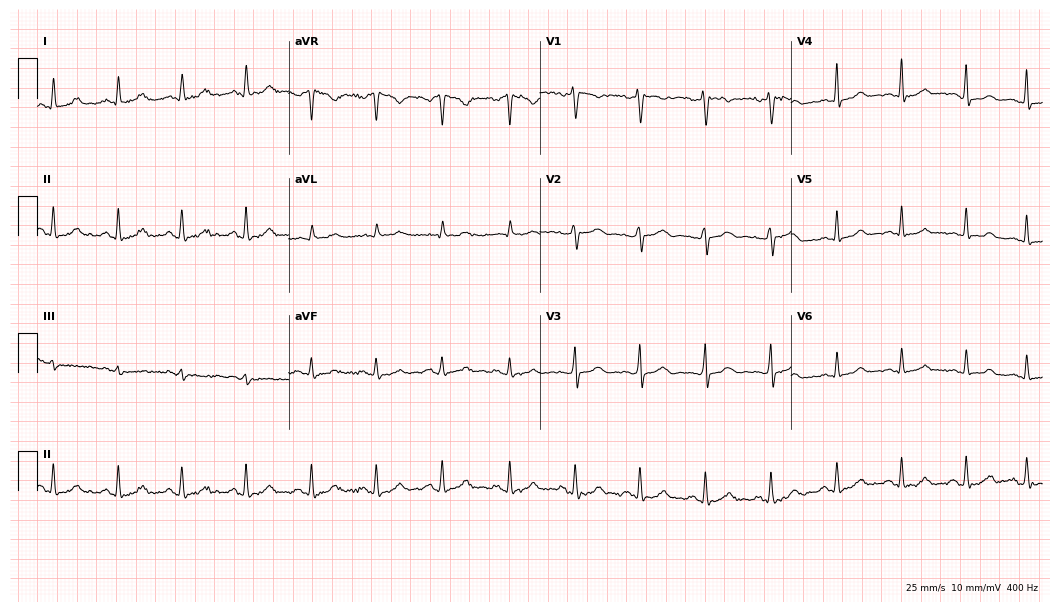
Standard 12-lead ECG recorded from a 37-year-old female patient (10.2-second recording at 400 Hz). Read as a normal ECG.